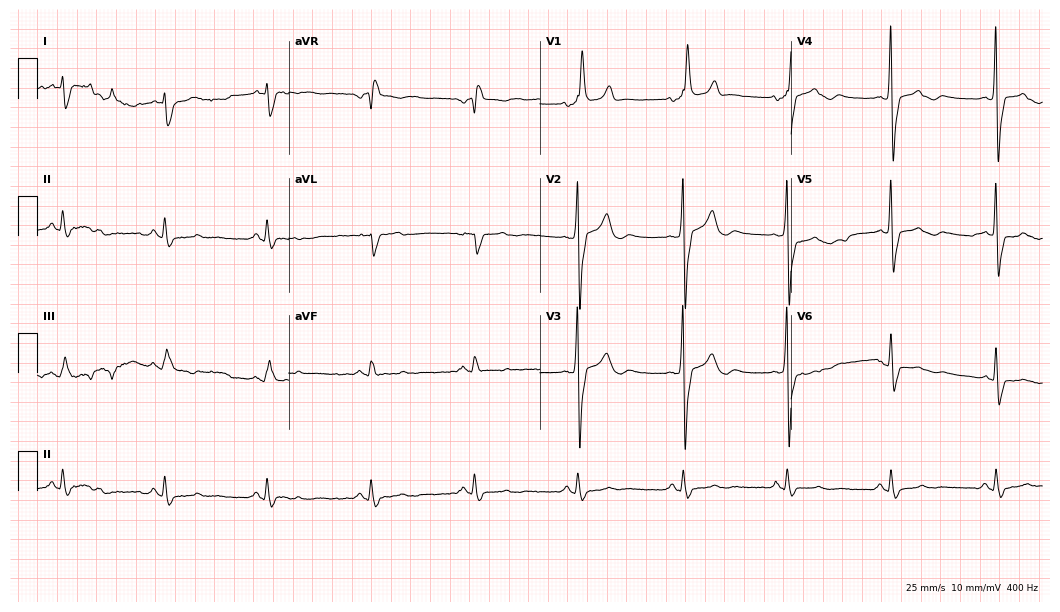
Standard 12-lead ECG recorded from a 72-year-old male (10.2-second recording at 400 Hz). The tracing shows right bundle branch block (RBBB).